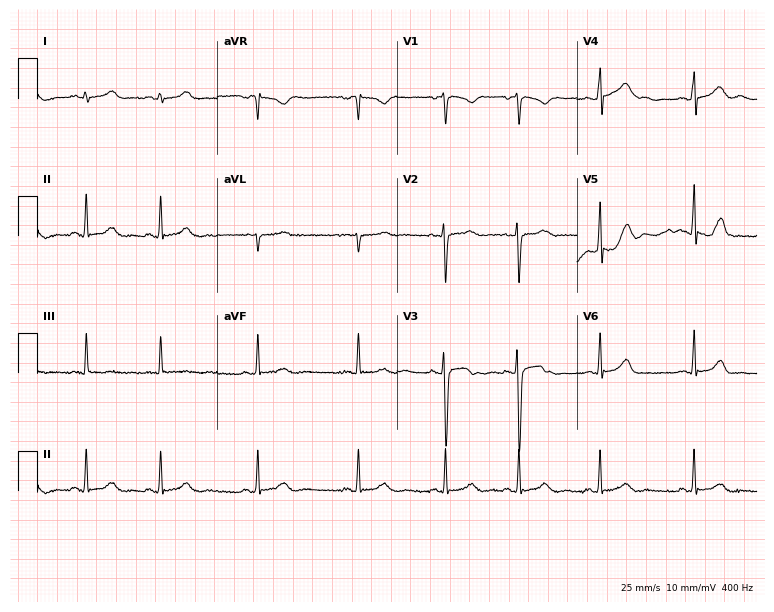
Standard 12-lead ECG recorded from a woman, 26 years old. None of these six findings is recorded: first-degree AV block, right bundle branch block (RBBB), left bundle branch block (LBBB), sinus bradycardia, atrial fibrillation (AF), sinus tachycardia.